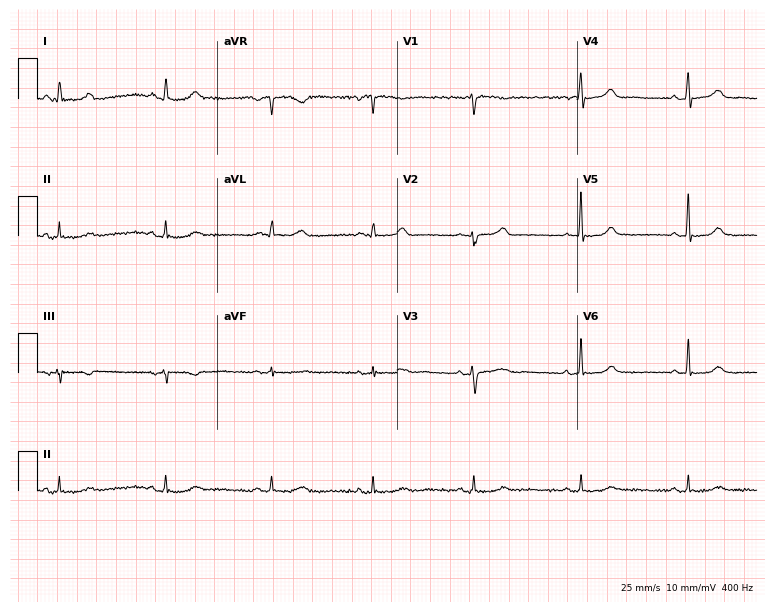
12-lead ECG from a 49-year-old female. Labelled as a normal ECG.